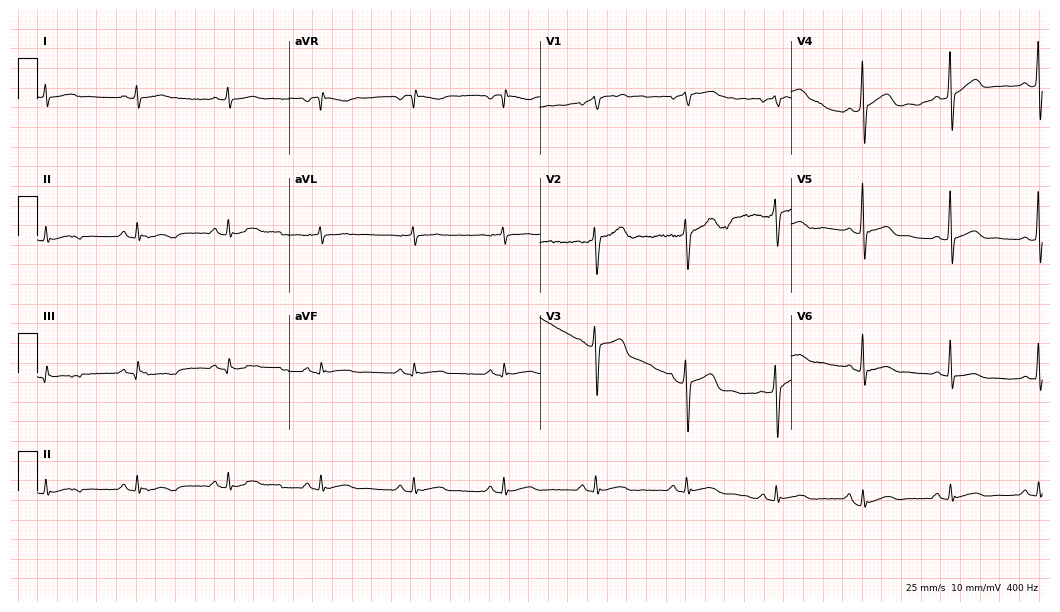
Standard 12-lead ECG recorded from a 59-year-old male. Read as a normal ECG.